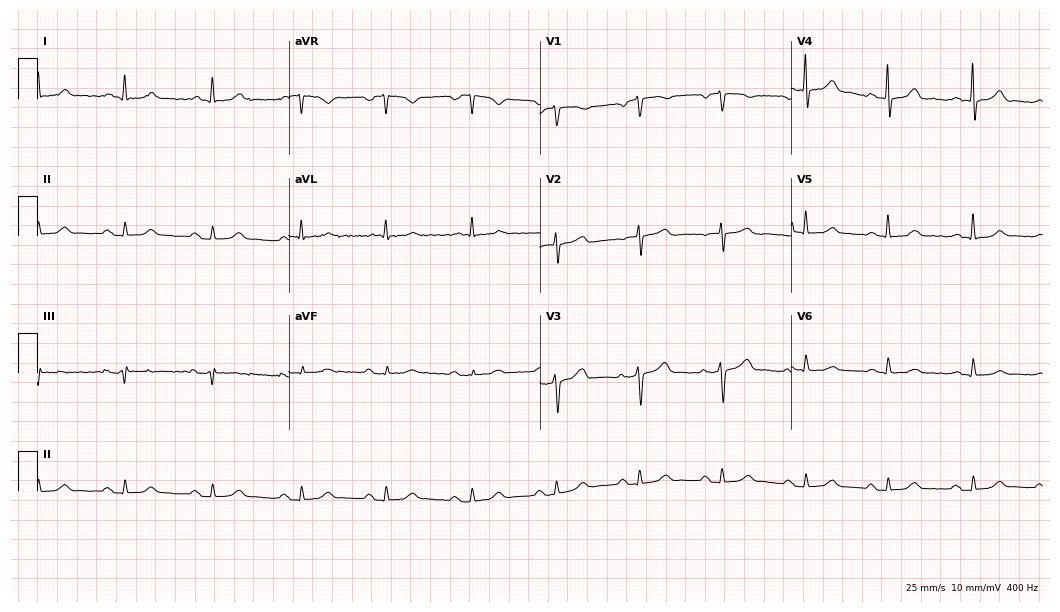
Standard 12-lead ECG recorded from a male patient, 68 years old. Read as a normal ECG.